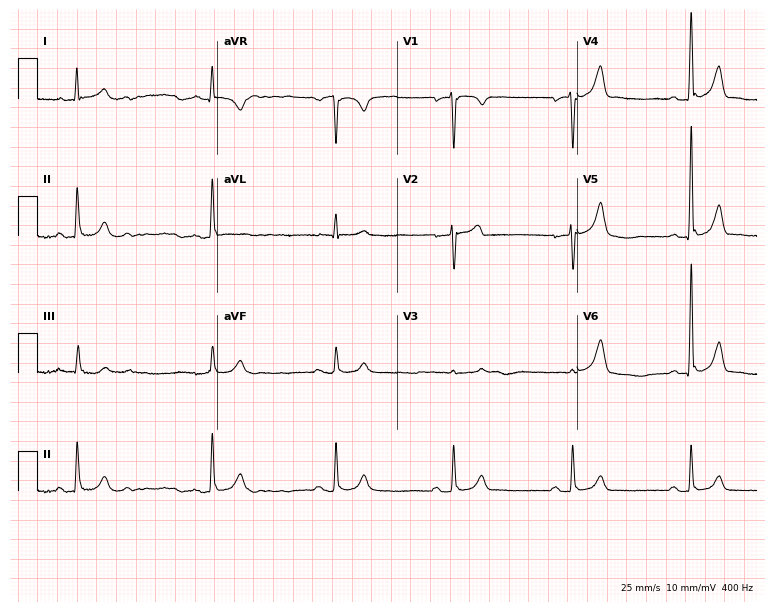
Resting 12-lead electrocardiogram. Patient: a male, 49 years old. The tracing shows sinus bradycardia (a sinus rate of 50 beats per minute or less).